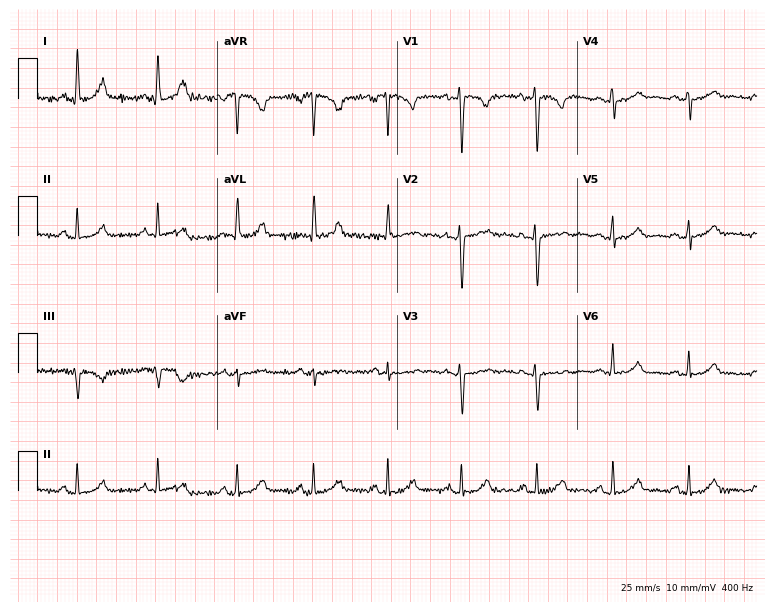
Electrocardiogram (7.3-second recording at 400 Hz), a 38-year-old female patient. Overall reading on record: normal ECG.